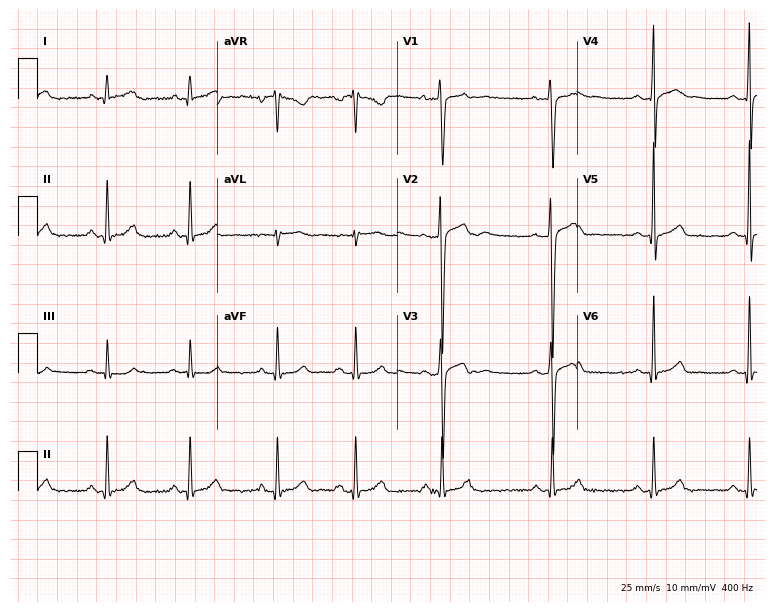
Resting 12-lead electrocardiogram. Patient: a 21-year-old man. Read as a normal ECG.